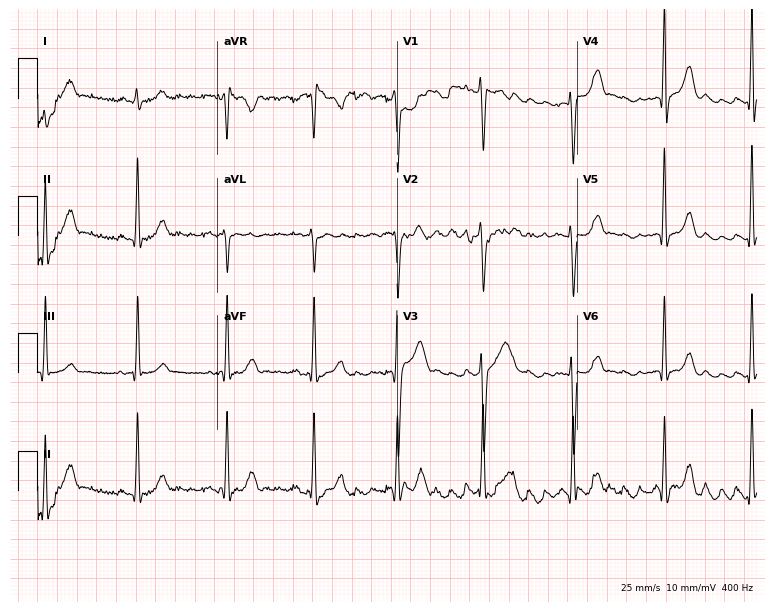
12-lead ECG from a male patient, 42 years old. Screened for six findings — first-degree AV block, right bundle branch block (RBBB), left bundle branch block (LBBB), sinus bradycardia, atrial fibrillation (AF), sinus tachycardia — none is recorded.